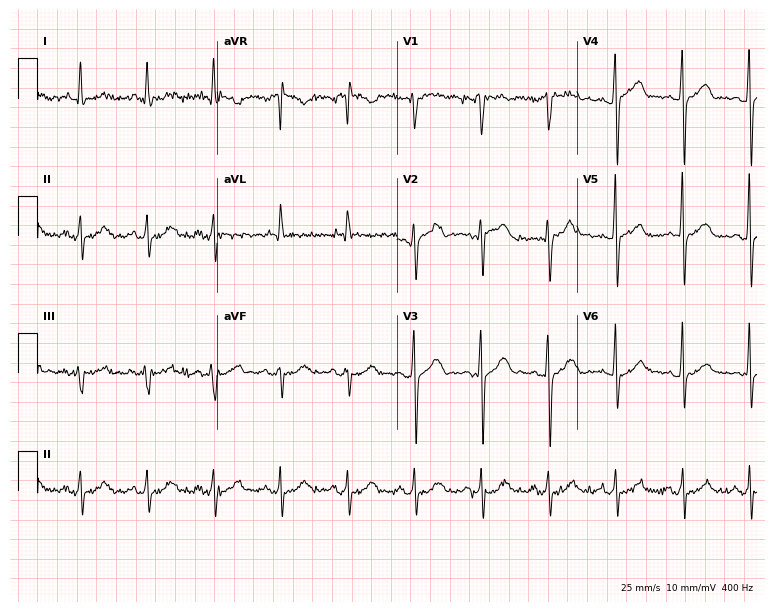
ECG — a male patient, 63 years old. Labelled as a normal ECG.